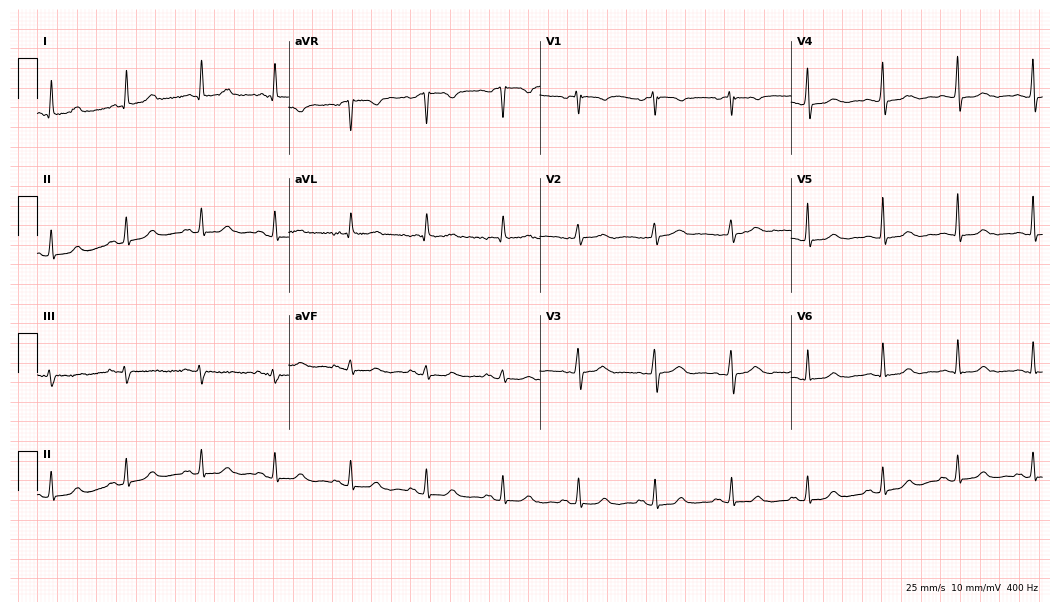
Standard 12-lead ECG recorded from a 70-year-old woman (10.2-second recording at 400 Hz). Read as a normal ECG.